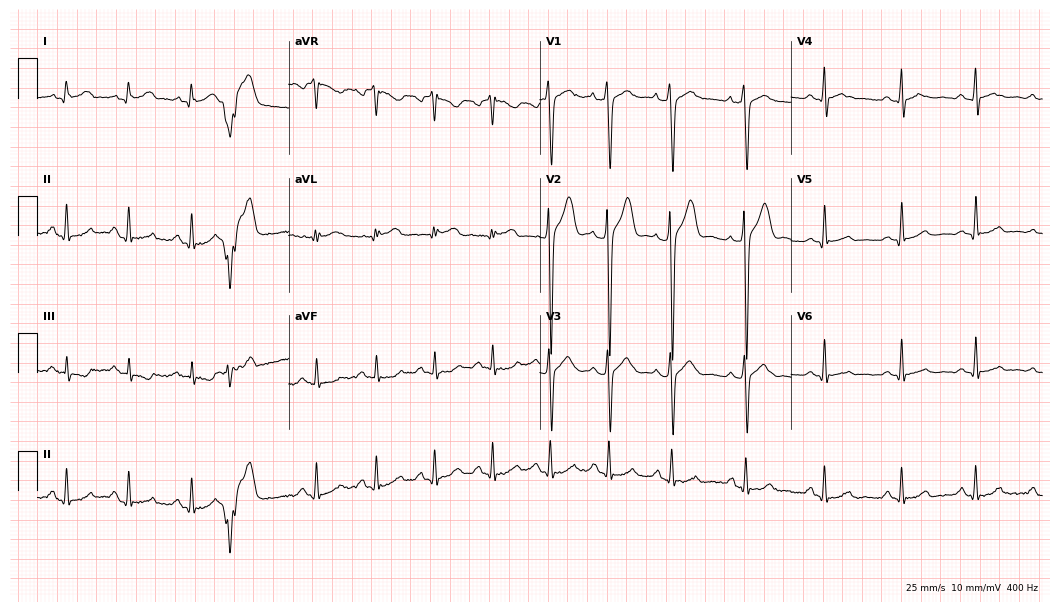
ECG (10.2-second recording at 400 Hz) — a 42-year-old man. Labelled as a normal ECG.